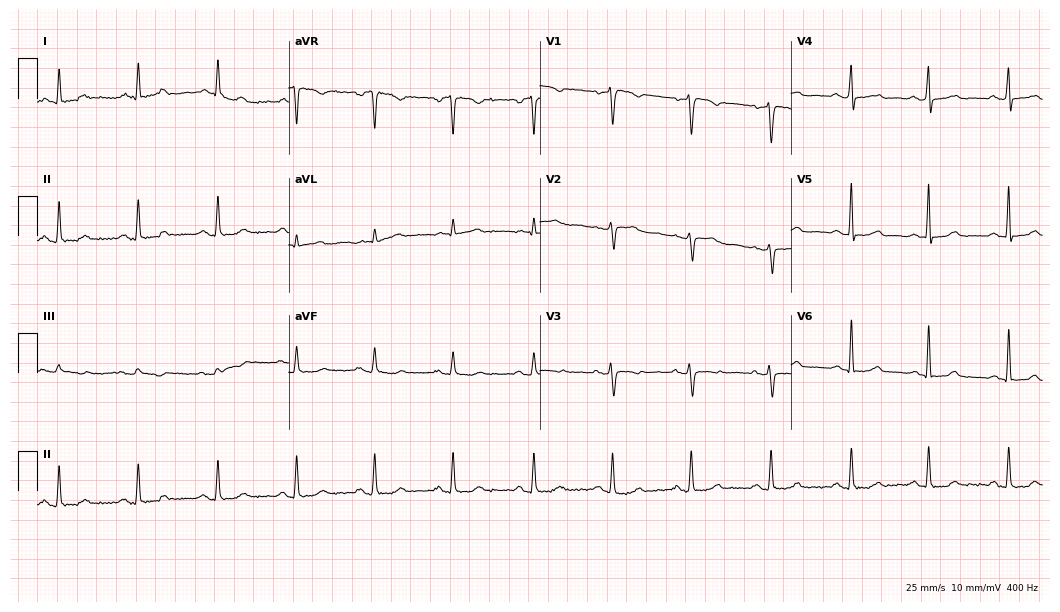
12-lead ECG from a 43-year-old female patient. Recorded interpretation: within normal limits.